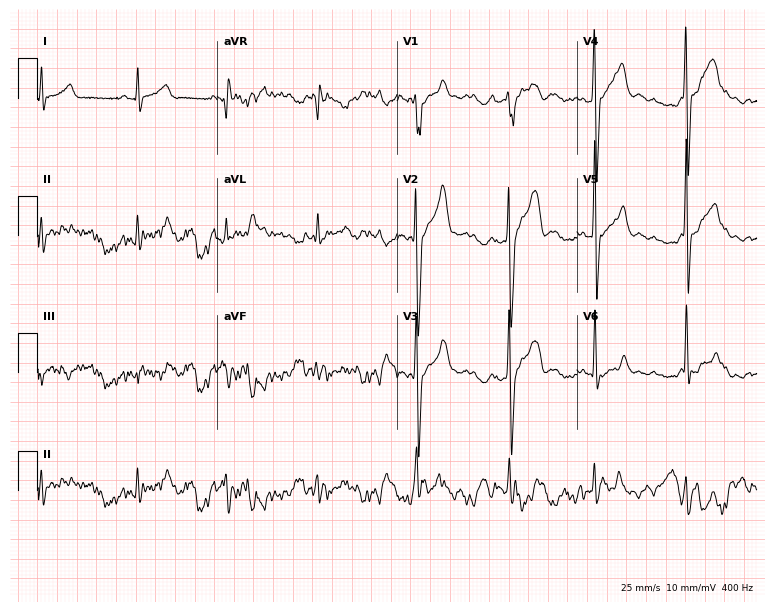
12-lead ECG from a male, 24 years old. Screened for six findings — first-degree AV block, right bundle branch block (RBBB), left bundle branch block (LBBB), sinus bradycardia, atrial fibrillation (AF), sinus tachycardia — none is recorded.